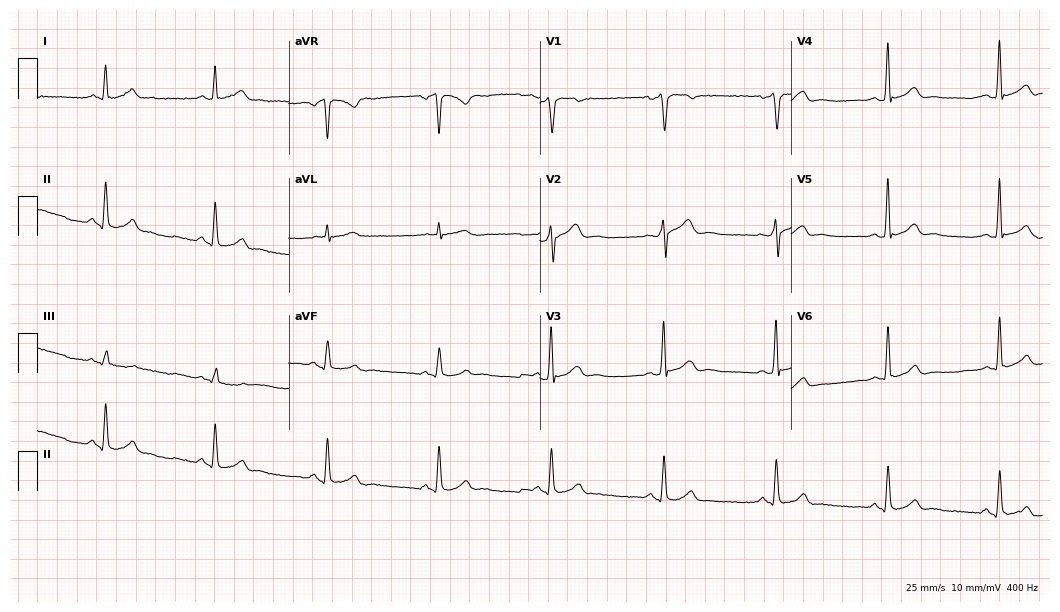
12-lead ECG from a 48-year-old man. Recorded interpretation: within normal limits.